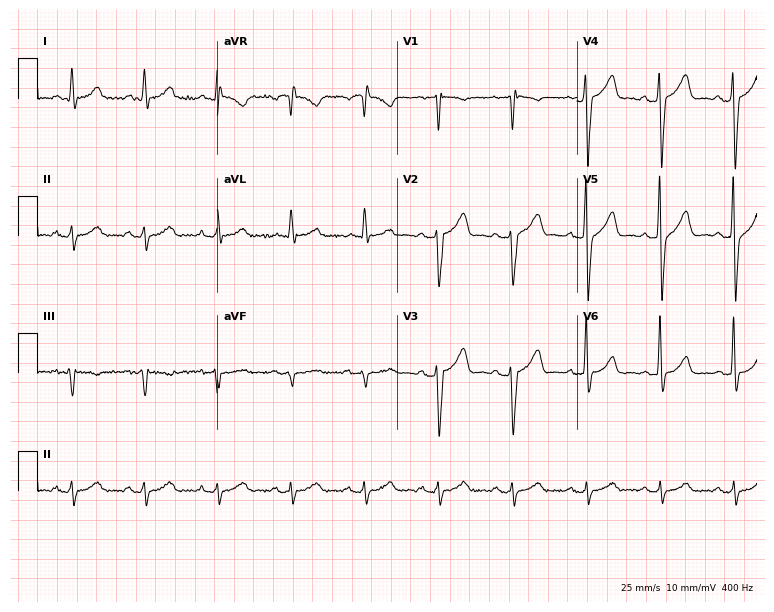
ECG (7.3-second recording at 400 Hz) — a man, 60 years old. Screened for six findings — first-degree AV block, right bundle branch block, left bundle branch block, sinus bradycardia, atrial fibrillation, sinus tachycardia — none is recorded.